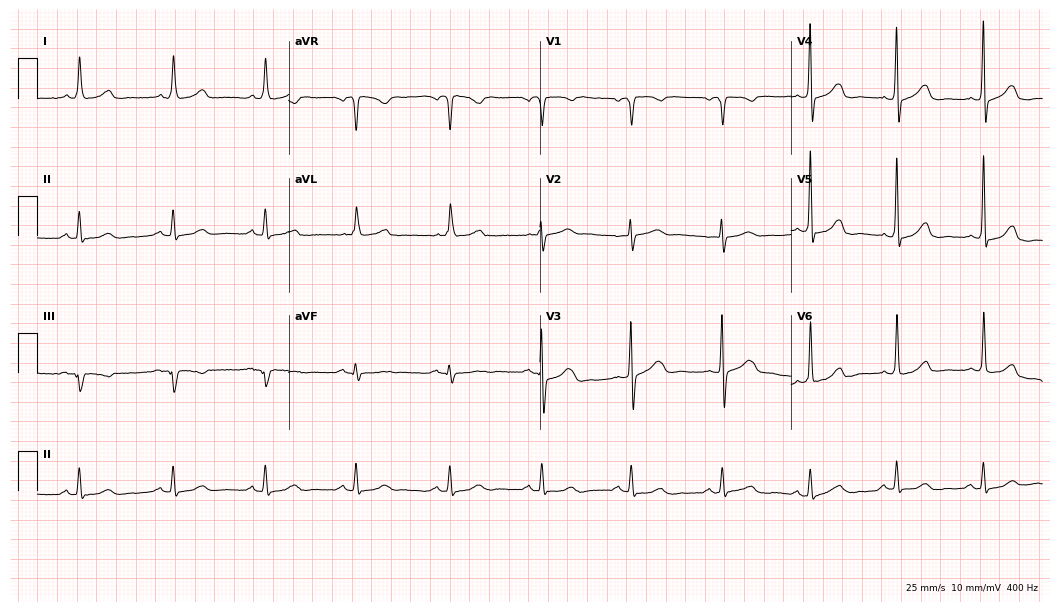
12-lead ECG (10.2-second recording at 400 Hz) from a 58-year-old female. Screened for six findings — first-degree AV block, right bundle branch block, left bundle branch block, sinus bradycardia, atrial fibrillation, sinus tachycardia — none is recorded.